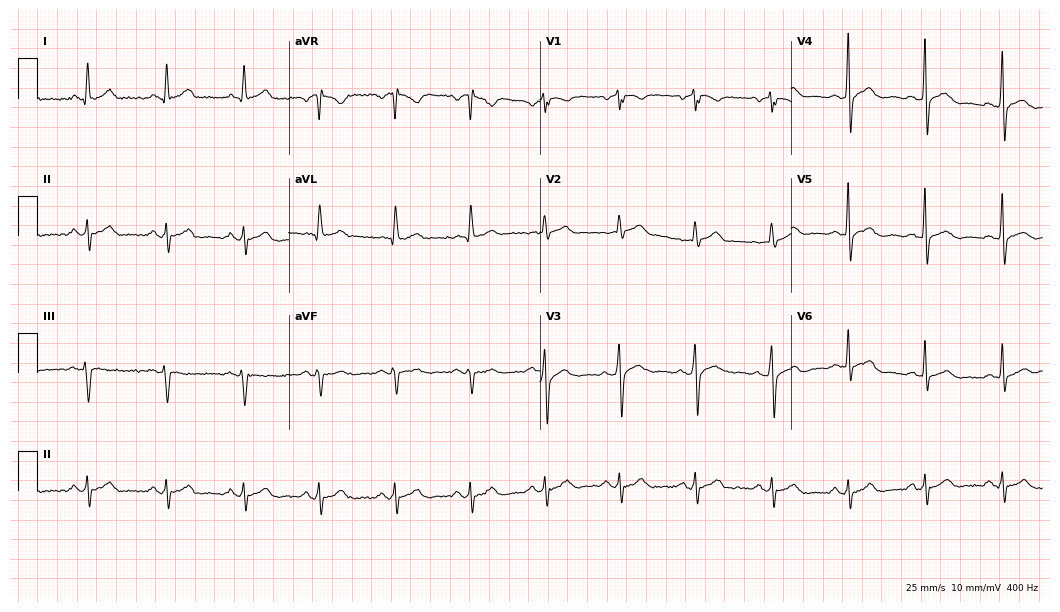
Resting 12-lead electrocardiogram (10.2-second recording at 400 Hz). Patient: a 48-year-old male. None of these six findings is recorded: first-degree AV block, right bundle branch block, left bundle branch block, sinus bradycardia, atrial fibrillation, sinus tachycardia.